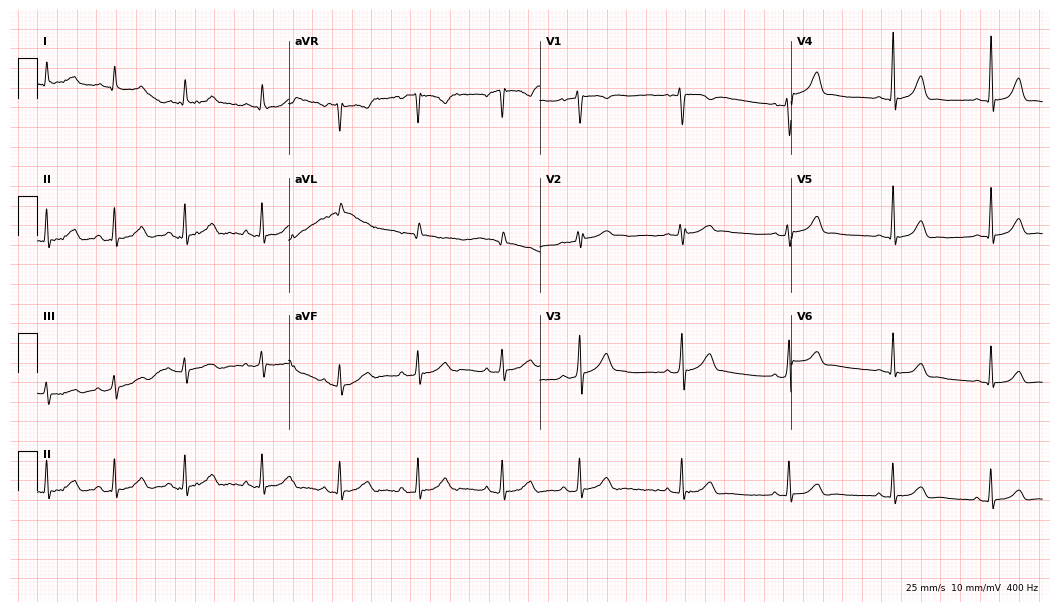
Electrocardiogram, a female patient, 18 years old. Of the six screened findings (first-degree AV block, right bundle branch block (RBBB), left bundle branch block (LBBB), sinus bradycardia, atrial fibrillation (AF), sinus tachycardia), none is recorded. Only these six findings were labelled.